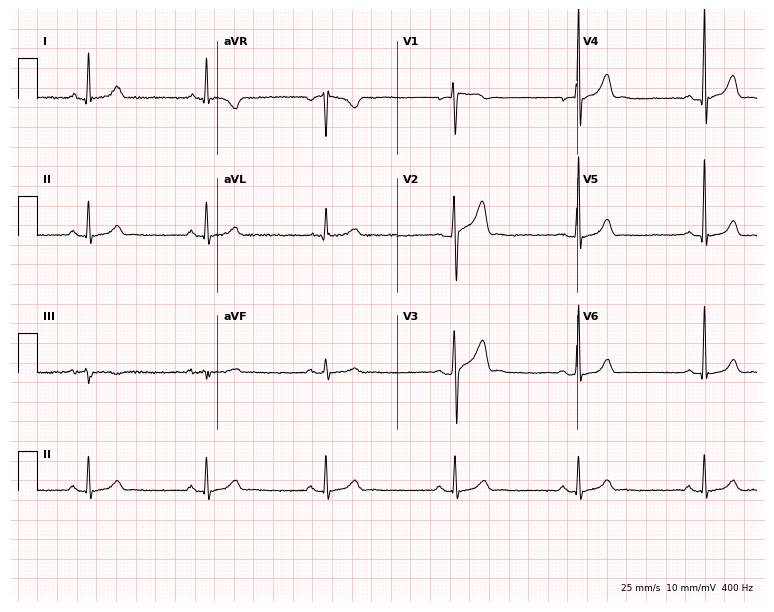
12-lead ECG (7.3-second recording at 400 Hz) from a 33-year-old man. Findings include sinus bradycardia (a sinus rate of 50 beats per minute or less).